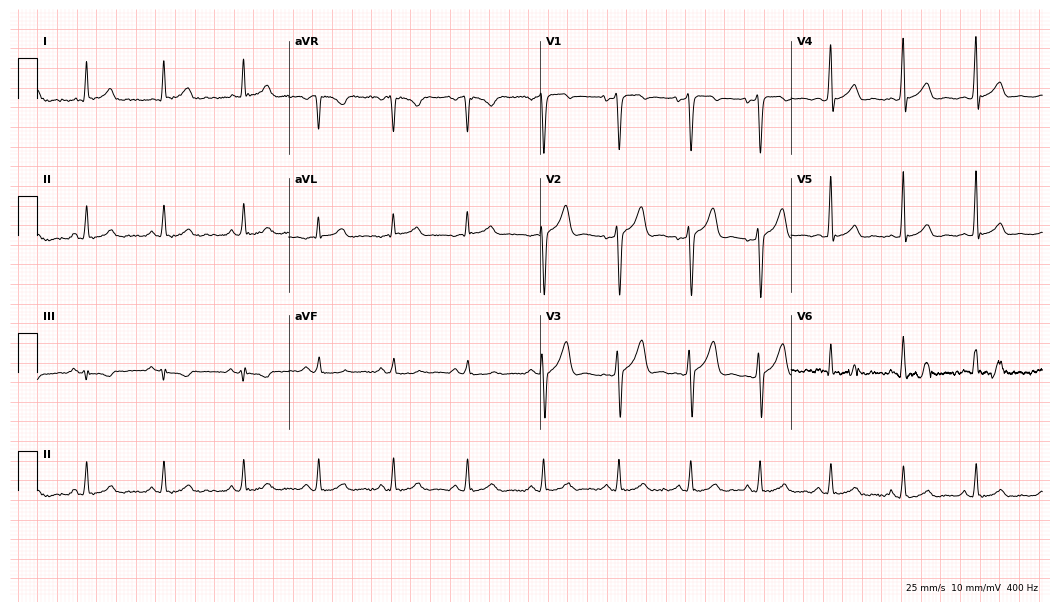
12-lead ECG from a male, 37 years old. Labelled as a normal ECG.